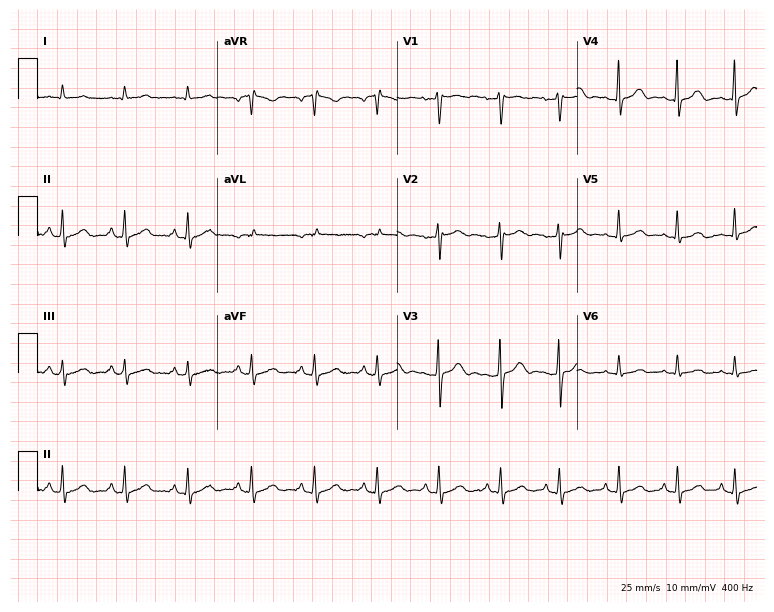
Electrocardiogram (7.3-second recording at 400 Hz), a 28-year-old female. Overall reading on record: normal ECG.